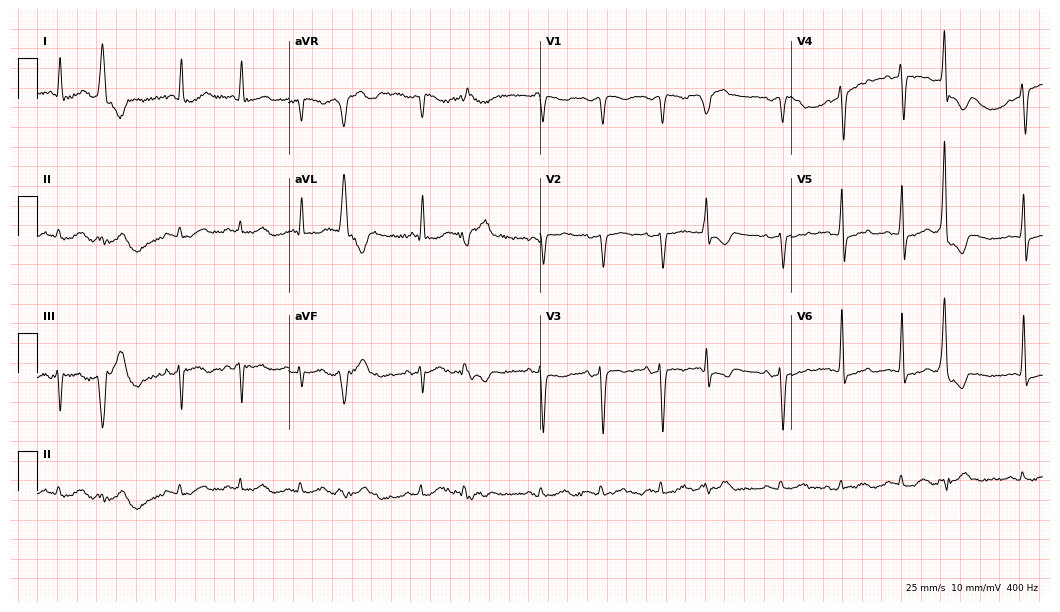
Resting 12-lead electrocardiogram (10.2-second recording at 400 Hz). Patient: a man, 83 years old. None of these six findings is recorded: first-degree AV block, right bundle branch block (RBBB), left bundle branch block (LBBB), sinus bradycardia, atrial fibrillation (AF), sinus tachycardia. Findings outside these six are not listed.